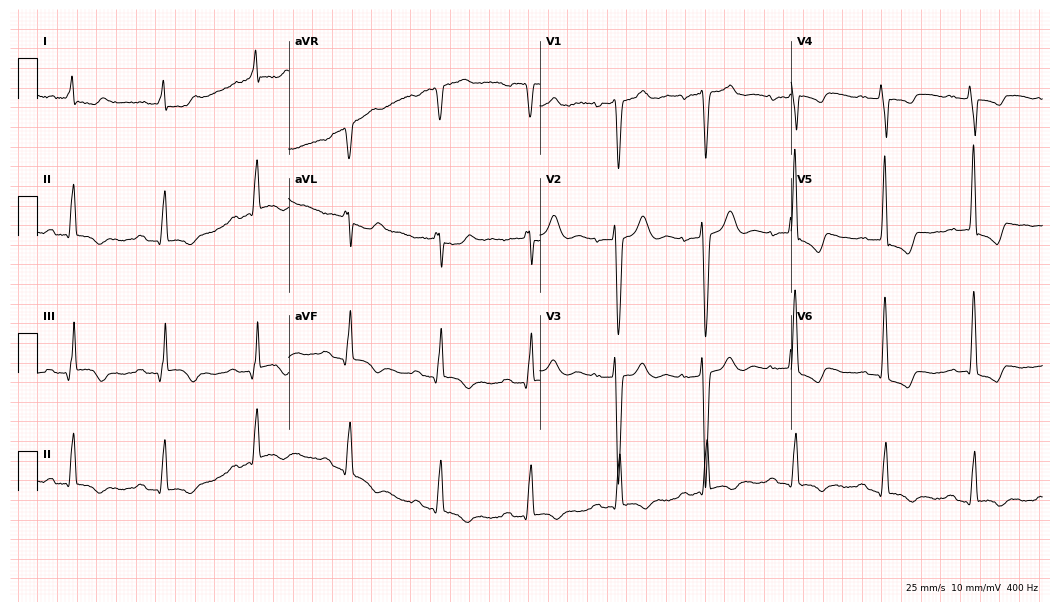
ECG (10.2-second recording at 400 Hz) — a 75-year-old man. Screened for six findings — first-degree AV block, right bundle branch block, left bundle branch block, sinus bradycardia, atrial fibrillation, sinus tachycardia — none is recorded.